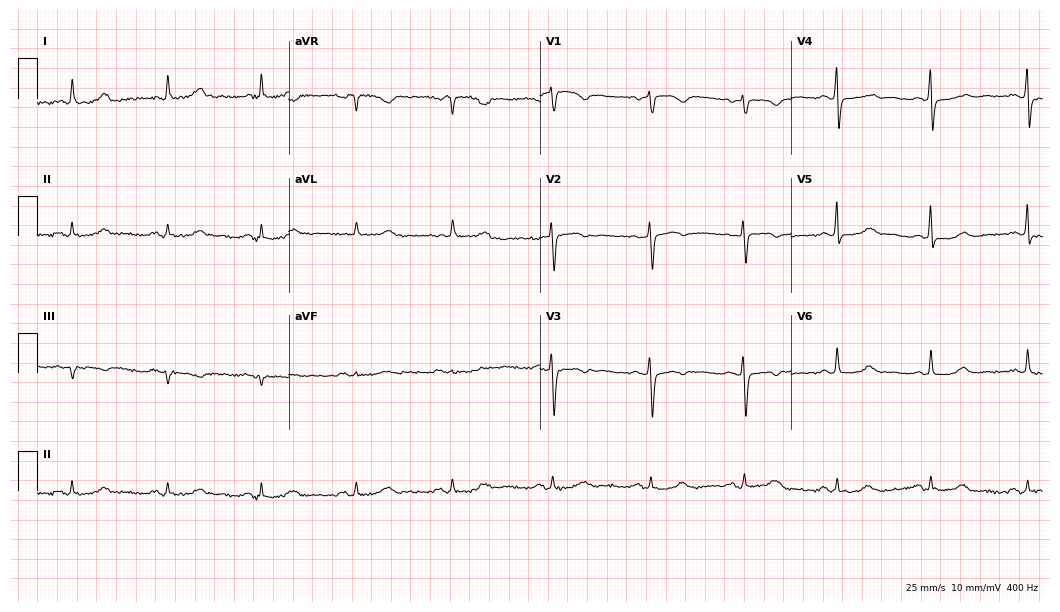
12-lead ECG from a woman, 71 years old. Screened for six findings — first-degree AV block, right bundle branch block, left bundle branch block, sinus bradycardia, atrial fibrillation, sinus tachycardia — none is recorded. Findings outside these six are not listed.